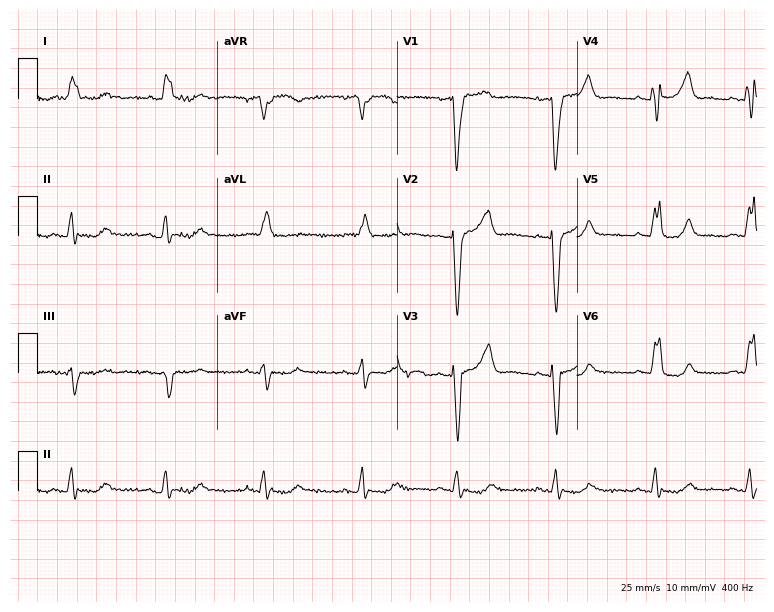
12-lead ECG from a woman, 77 years old. Shows left bundle branch block.